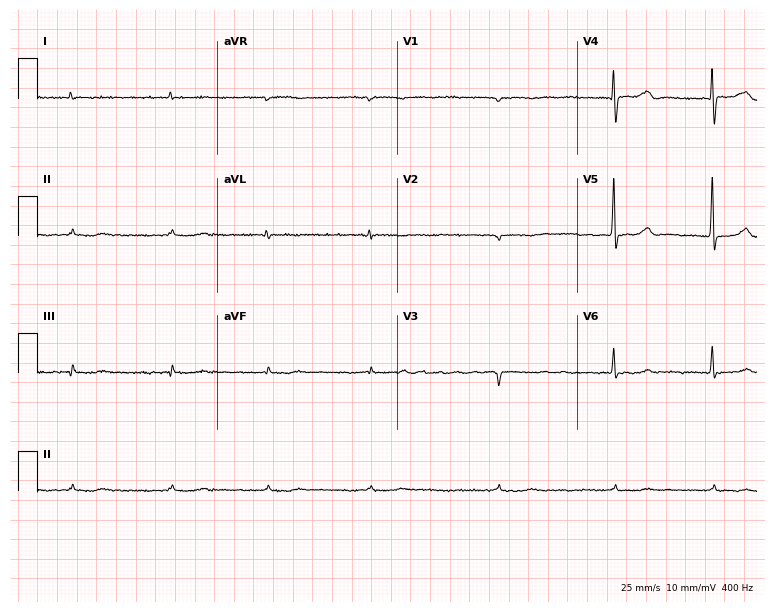
ECG (7.3-second recording at 400 Hz) — a male patient, 84 years old. Findings include atrial fibrillation (AF).